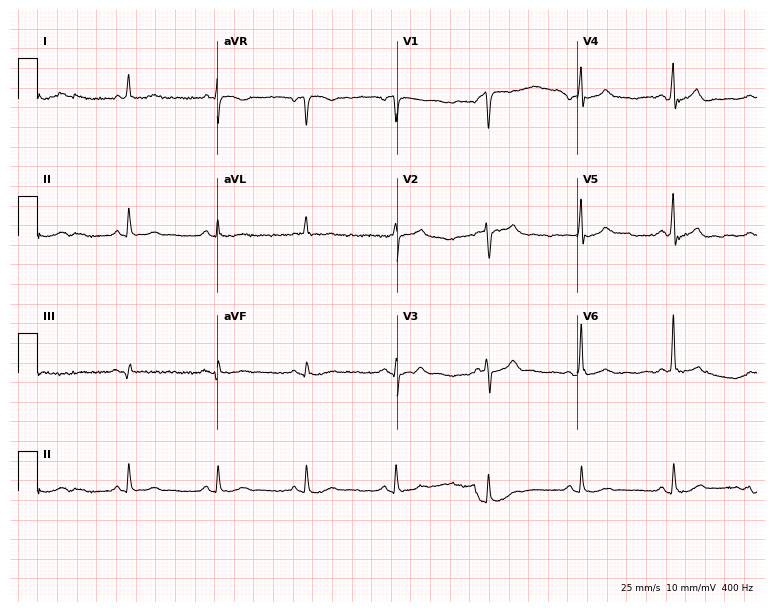
12-lead ECG from a 60-year-old male patient. Recorded interpretation: within normal limits.